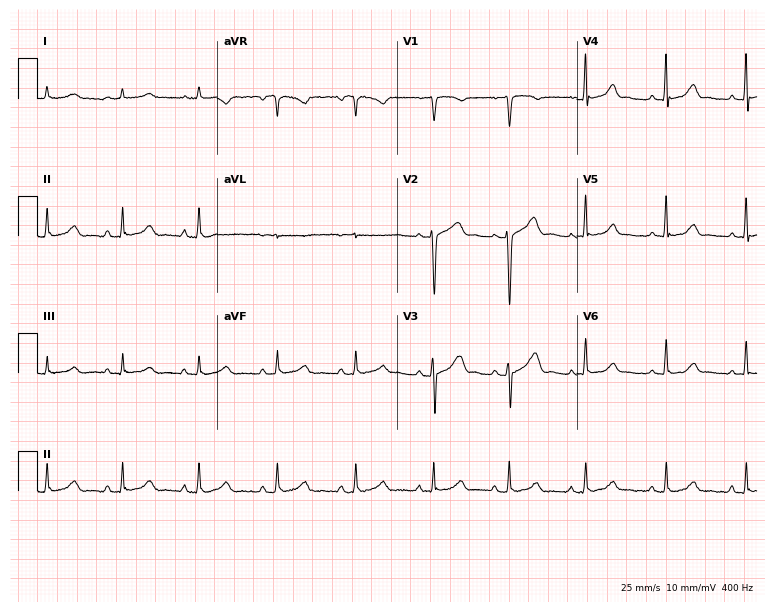
Electrocardiogram, a woman, 53 years old. Overall reading on record: normal ECG.